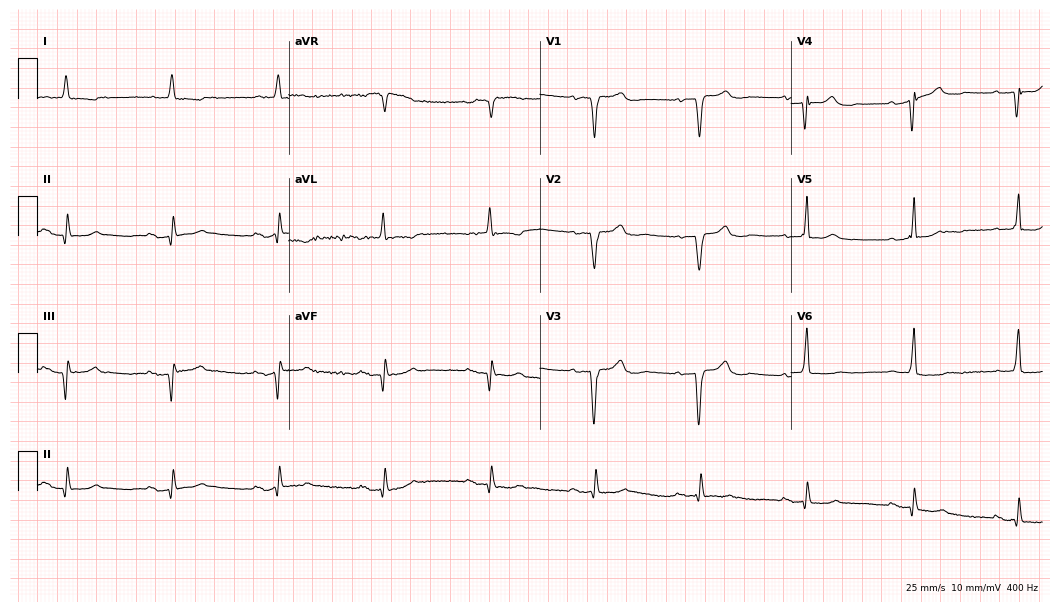
12-lead ECG from a woman, 83 years old. Findings include first-degree AV block.